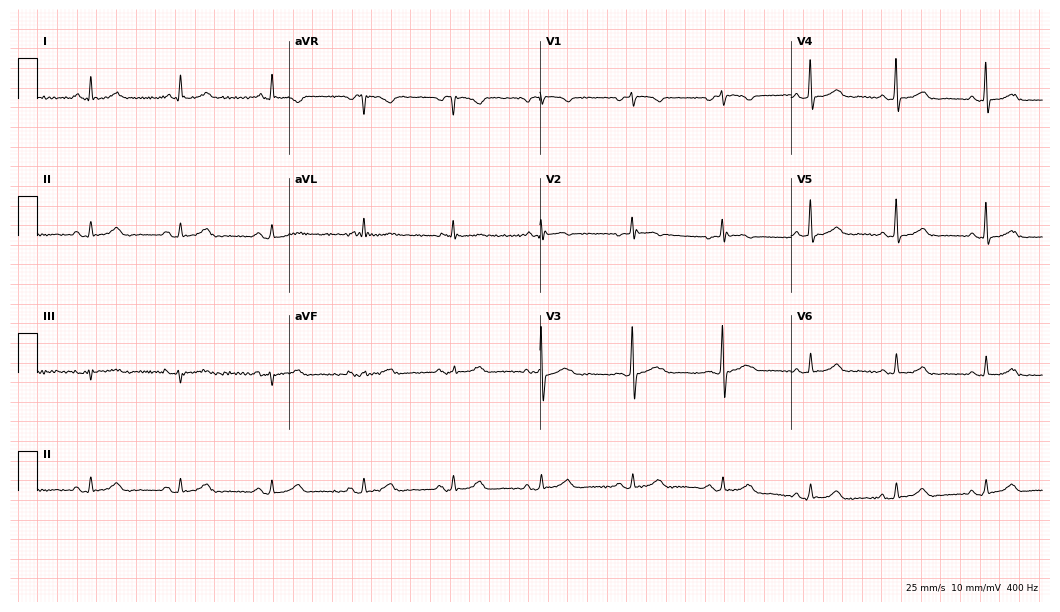
Electrocardiogram, a 57-year-old woman. Overall reading on record: normal ECG.